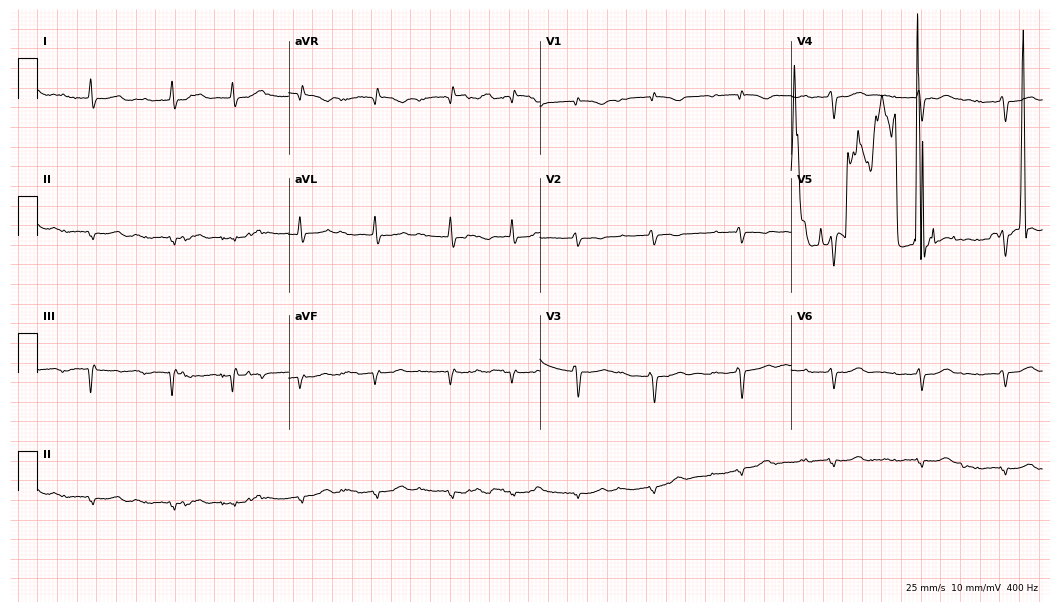
12-lead ECG (10.2-second recording at 400 Hz) from an 81-year-old female patient. Screened for six findings — first-degree AV block, right bundle branch block, left bundle branch block, sinus bradycardia, atrial fibrillation, sinus tachycardia — none is recorded.